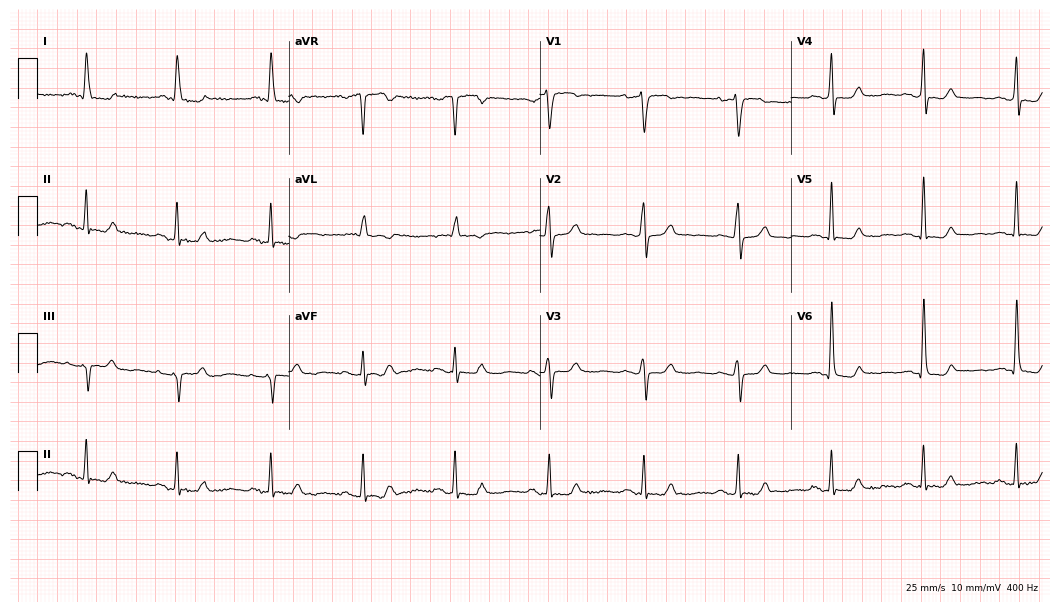
ECG (10.2-second recording at 400 Hz) — a female, 74 years old. Screened for six findings — first-degree AV block, right bundle branch block, left bundle branch block, sinus bradycardia, atrial fibrillation, sinus tachycardia — none is recorded. Findings outside these six are not listed.